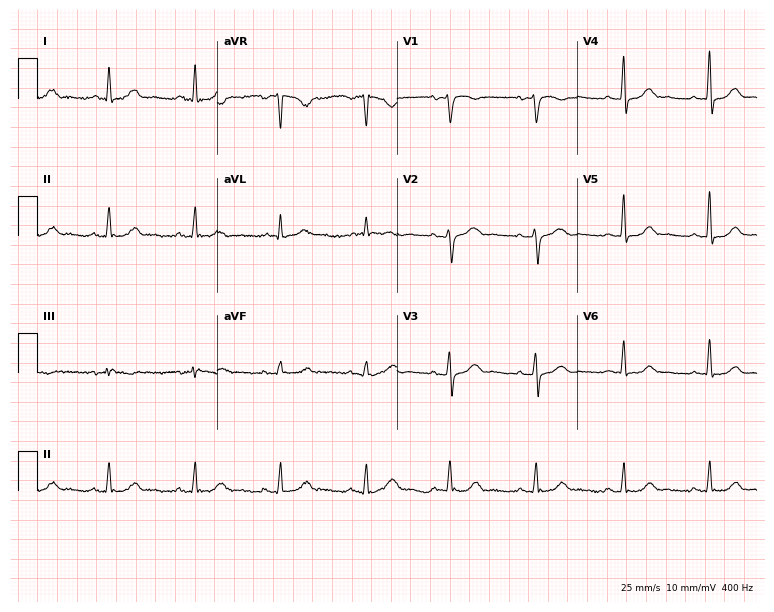
ECG — a 60-year-old woman. Labelled as a normal ECG.